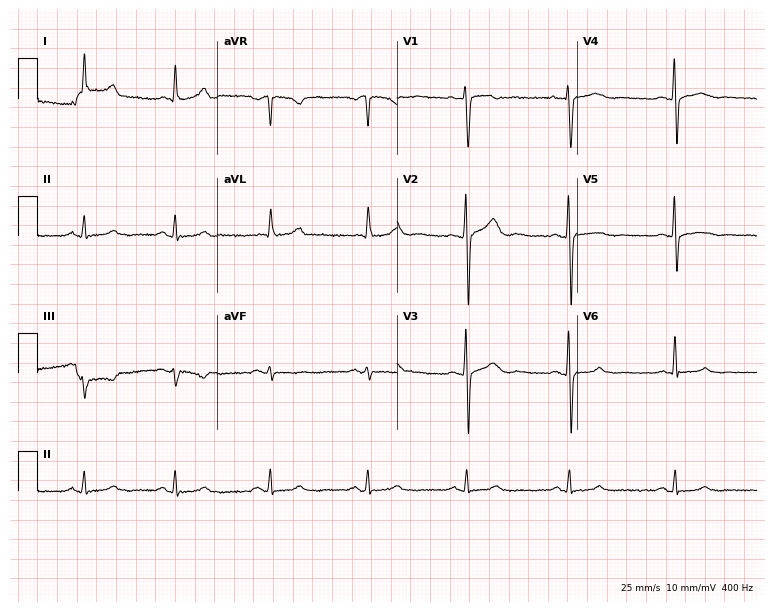
Electrocardiogram, a male, 53 years old. Overall reading on record: normal ECG.